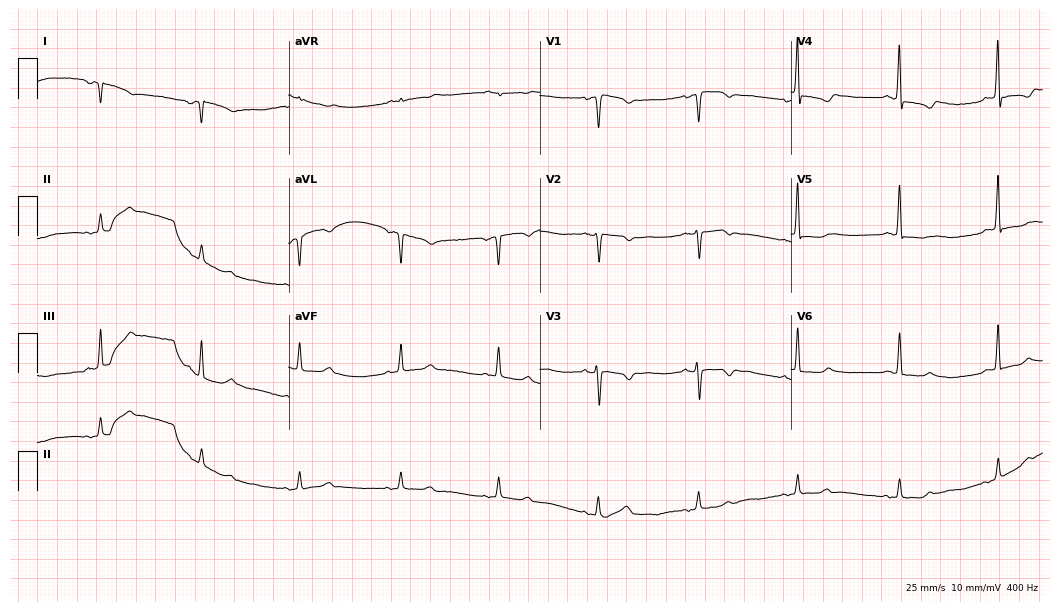
ECG (10.2-second recording at 400 Hz) — a female, 52 years old. Screened for six findings — first-degree AV block, right bundle branch block (RBBB), left bundle branch block (LBBB), sinus bradycardia, atrial fibrillation (AF), sinus tachycardia — none is recorded. Findings outside these six are not listed.